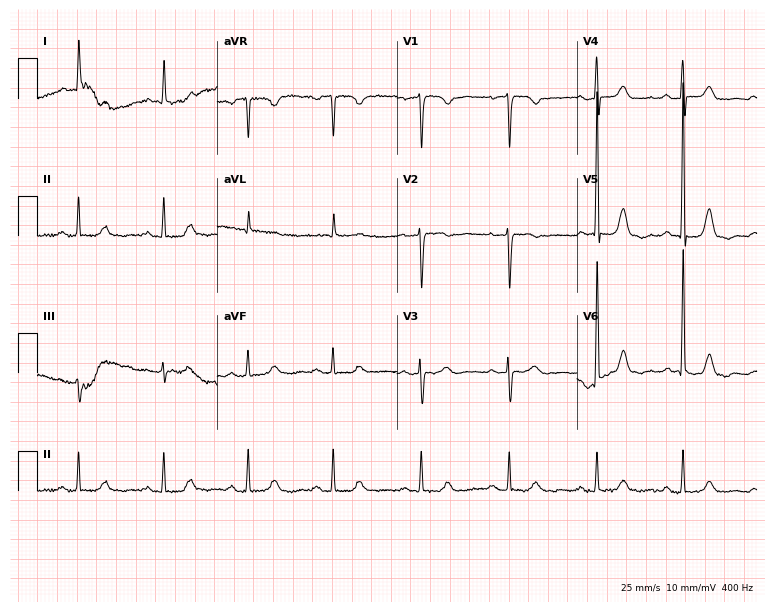
Standard 12-lead ECG recorded from an 84-year-old woman (7.3-second recording at 400 Hz). None of these six findings is recorded: first-degree AV block, right bundle branch block, left bundle branch block, sinus bradycardia, atrial fibrillation, sinus tachycardia. Findings outside these six are not listed.